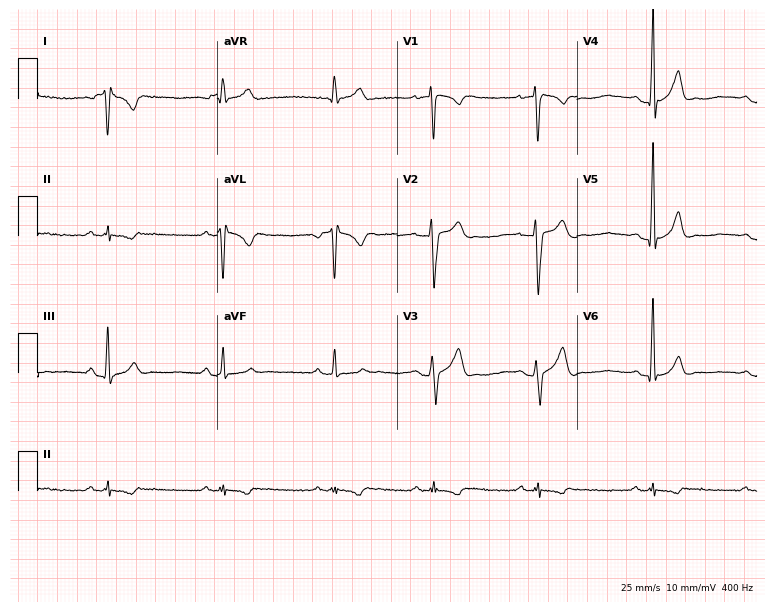
12-lead ECG (7.3-second recording at 400 Hz) from a 31-year-old man. Screened for six findings — first-degree AV block, right bundle branch block (RBBB), left bundle branch block (LBBB), sinus bradycardia, atrial fibrillation (AF), sinus tachycardia — none is recorded.